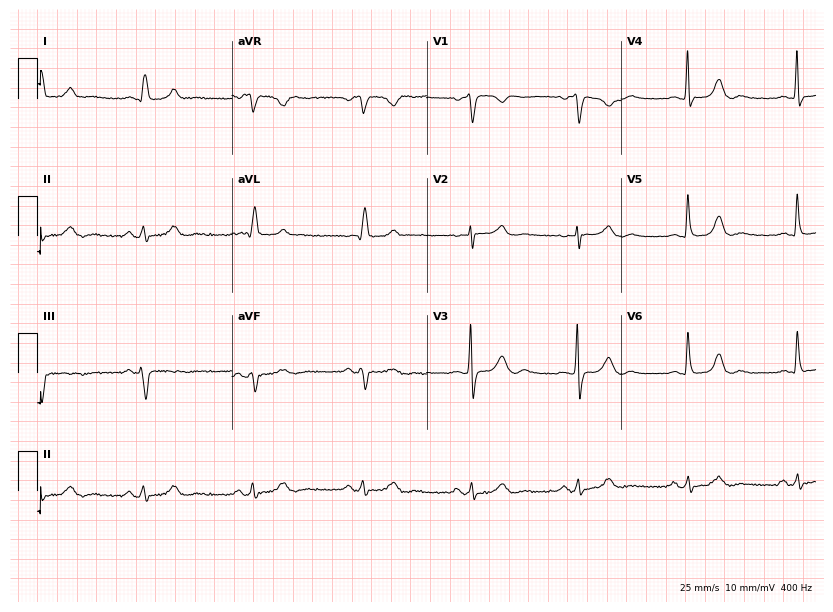
12-lead ECG from a 64-year-old female patient (7.9-second recording at 400 Hz). No first-degree AV block, right bundle branch block, left bundle branch block, sinus bradycardia, atrial fibrillation or sinus tachycardia recorded for this tracing.